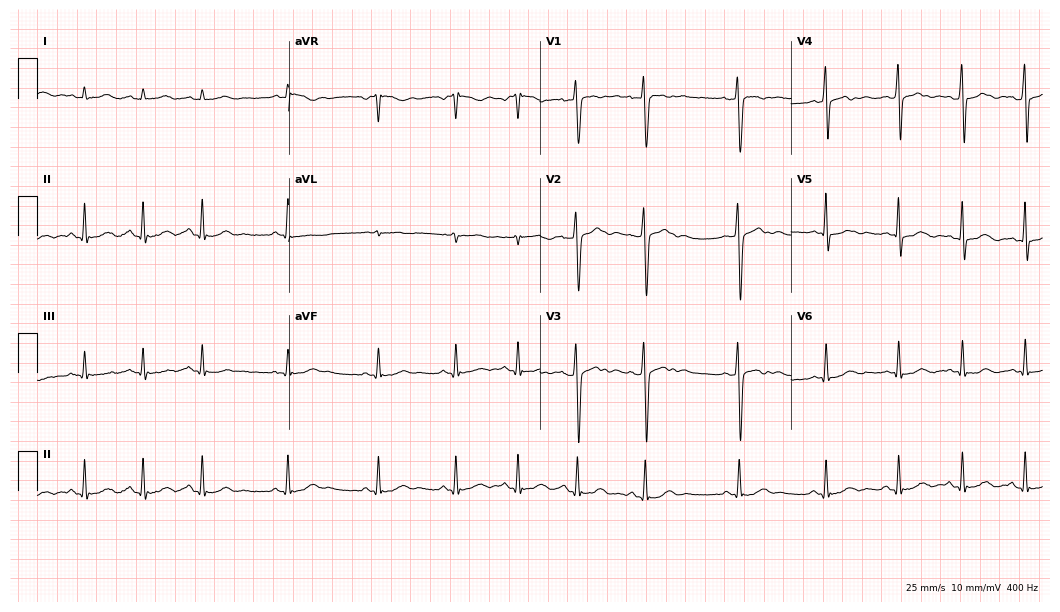
ECG — a male, 17 years old. Labelled as a normal ECG.